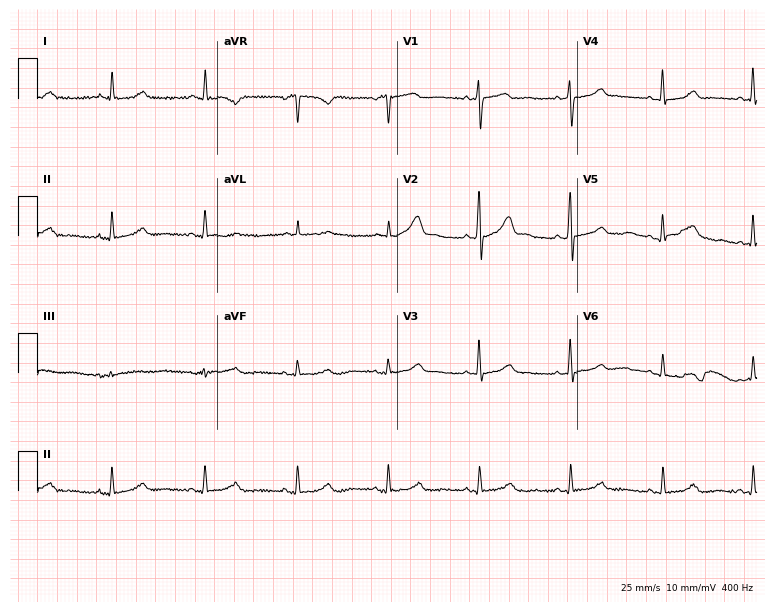
ECG — a woman, 68 years old. Labelled as a normal ECG.